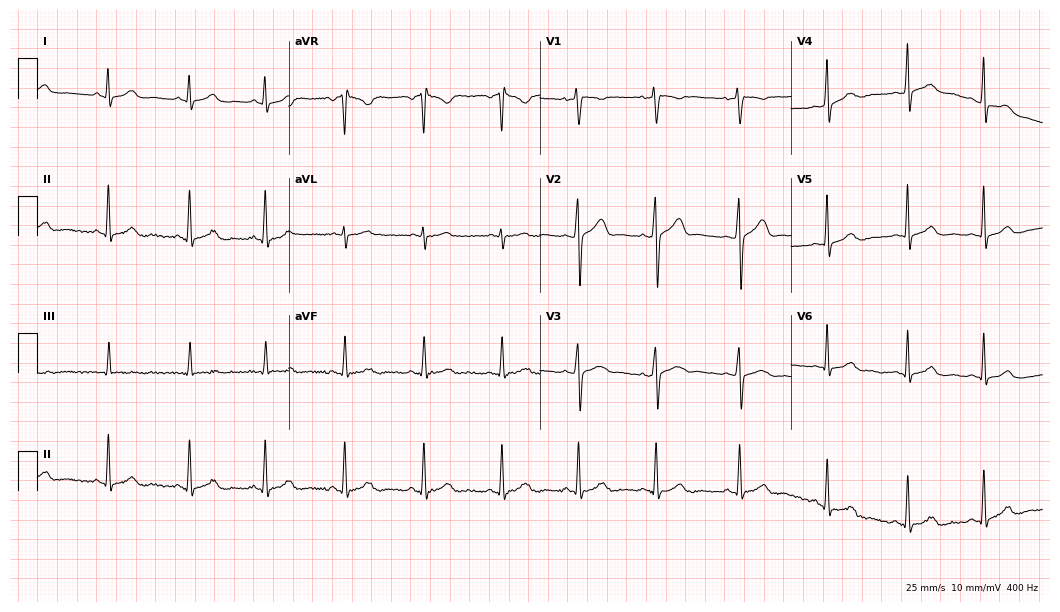
Electrocardiogram (10.2-second recording at 400 Hz), a 37-year-old female patient. Overall reading on record: normal ECG.